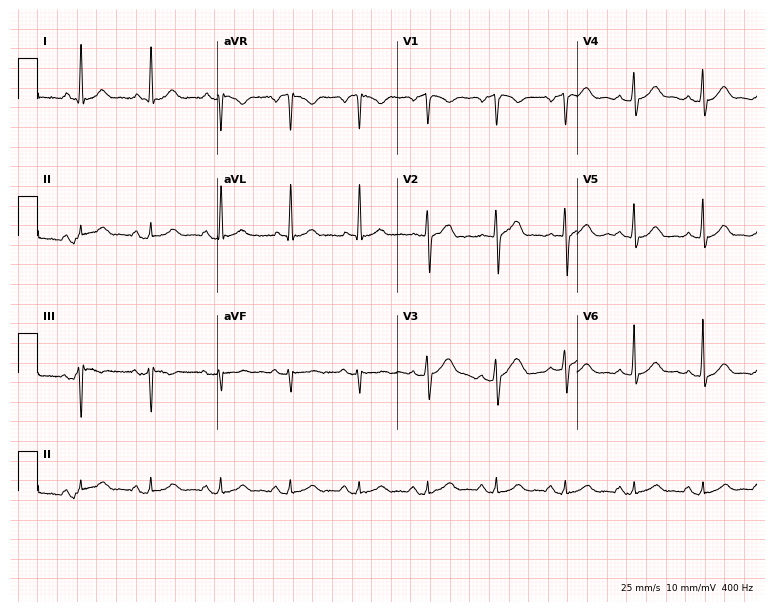
Standard 12-lead ECG recorded from a male, 51 years old. Read as a normal ECG.